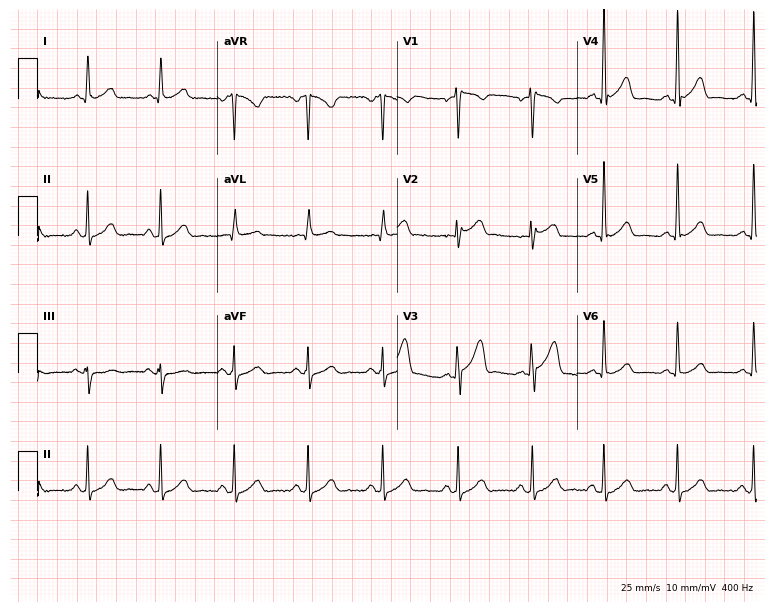
12-lead ECG (7.3-second recording at 400 Hz) from a male, 49 years old. Labelled as a normal ECG.